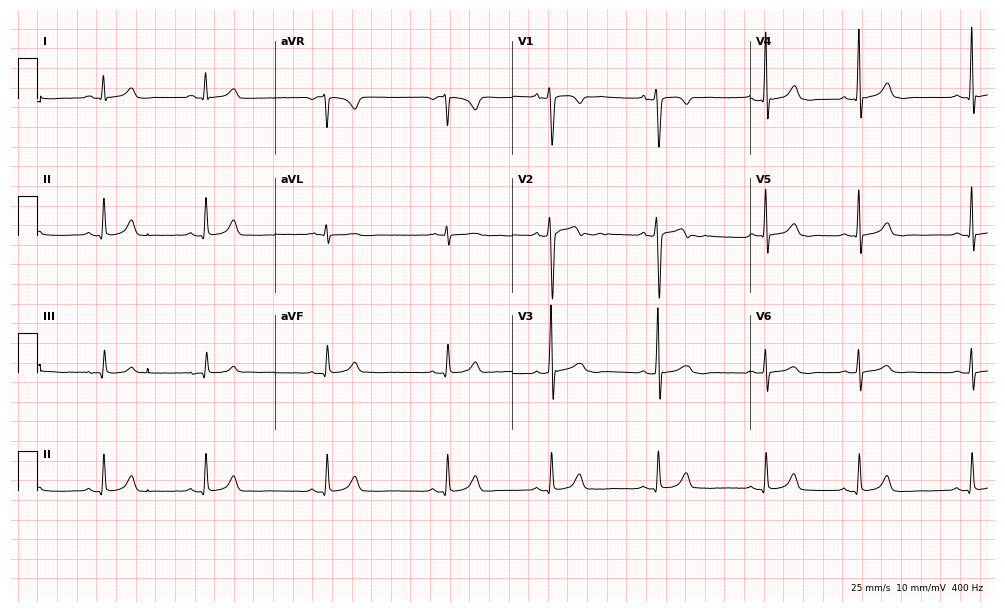
Resting 12-lead electrocardiogram (9.7-second recording at 400 Hz). Patient: a man, 26 years old. Read as a normal ECG.